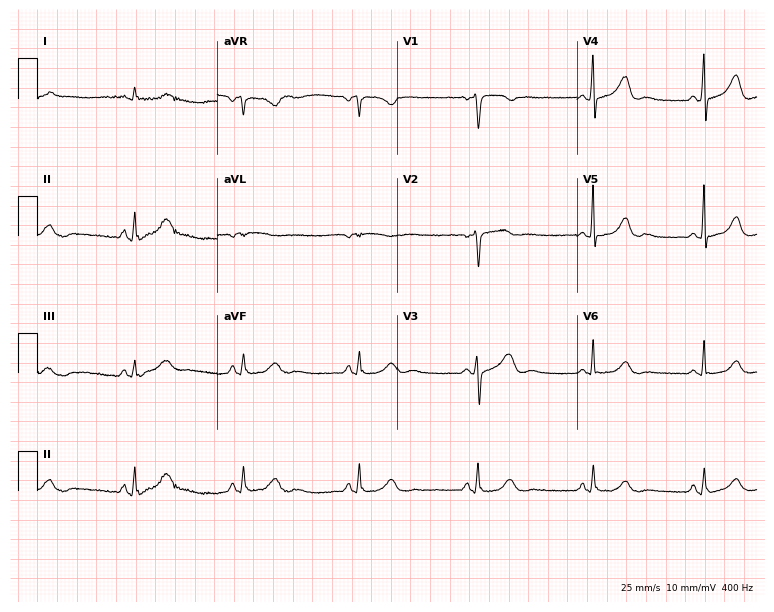
ECG (7.3-second recording at 400 Hz) — a 54-year-old woman. Screened for six findings — first-degree AV block, right bundle branch block, left bundle branch block, sinus bradycardia, atrial fibrillation, sinus tachycardia — none is recorded. Findings outside these six are not listed.